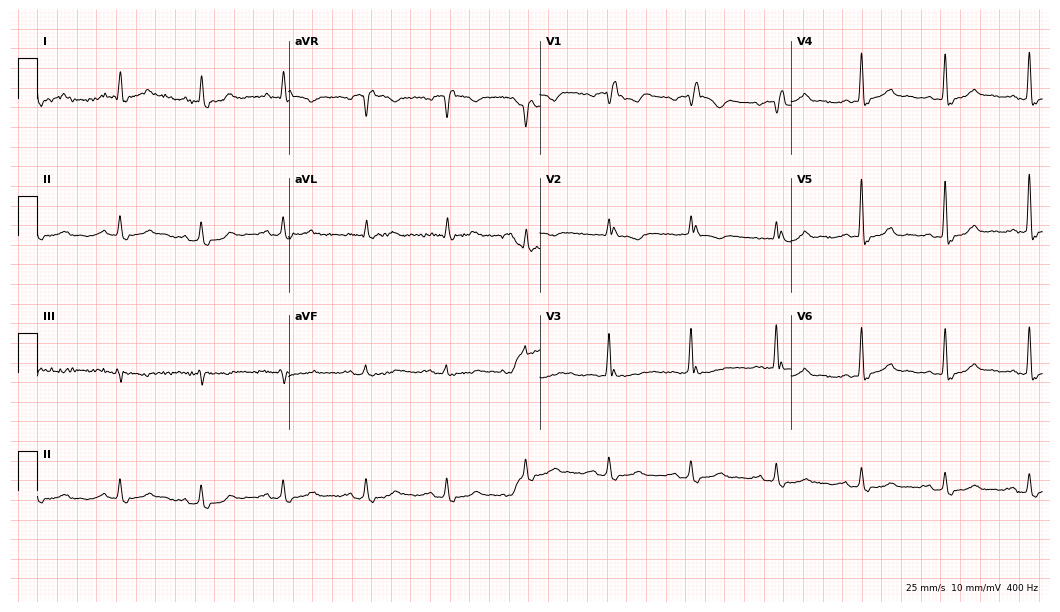
Standard 12-lead ECG recorded from a male patient, 66 years old (10.2-second recording at 400 Hz). The tracing shows right bundle branch block.